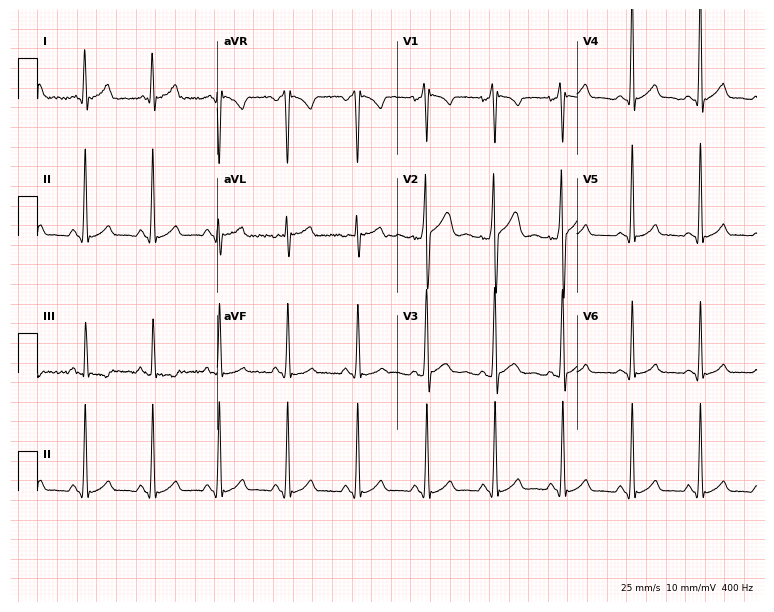
12-lead ECG from a male, 19 years old. Labelled as a normal ECG.